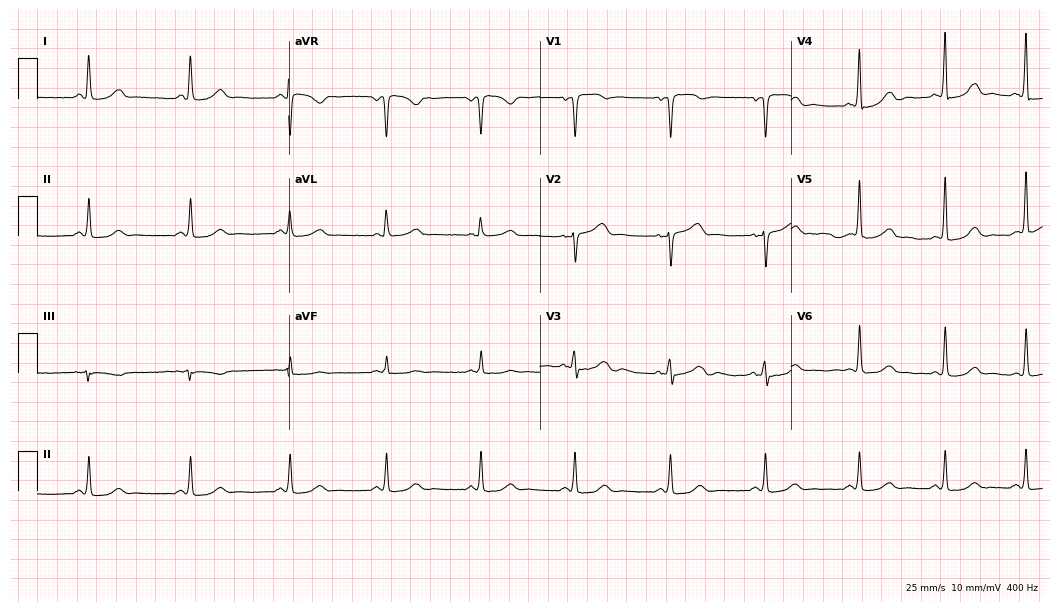
Electrocardiogram (10.2-second recording at 400 Hz), a female patient, 66 years old. Of the six screened findings (first-degree AV block, right bundle branch block (RBBB), left bundle branch block (LBBB), sinus bradycardia, atrial fibrillation (AF), sinus tachycardia), none is recorded. Findings outside these six are not listed.